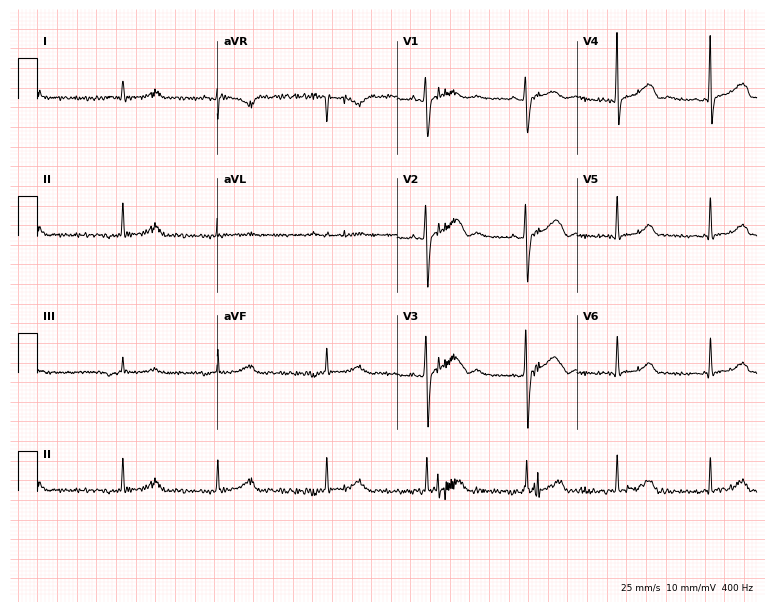
Resting 12-lead electrocardiogram. Patient: a female, 18 years old. None of these six findings is recorded: first-degree AV block, right bundle branch block, left bundle branch block, sinus bradycardia, atrial fibrillation, sinus tachycardia. Other findings, if any, are not listed.